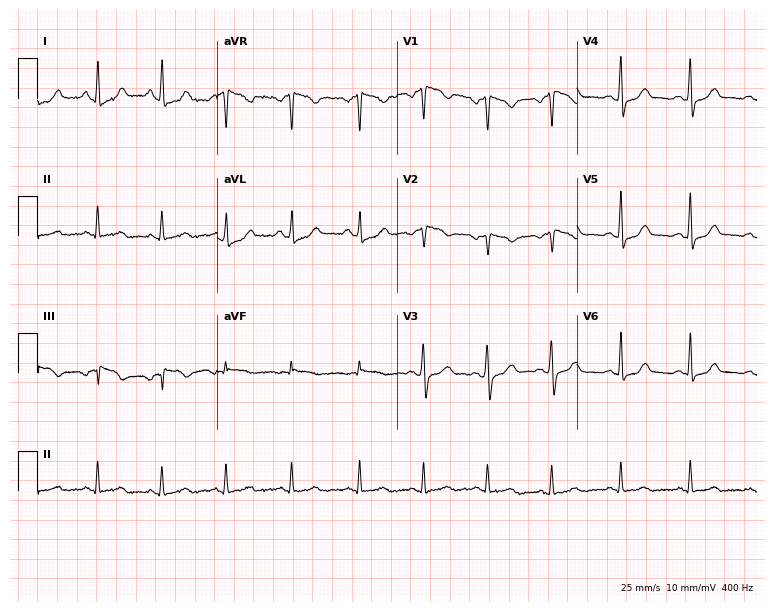
ECG (7.3-second recording at 400 Hz) — a 53-year-old female. Labelled as a normal ECG.